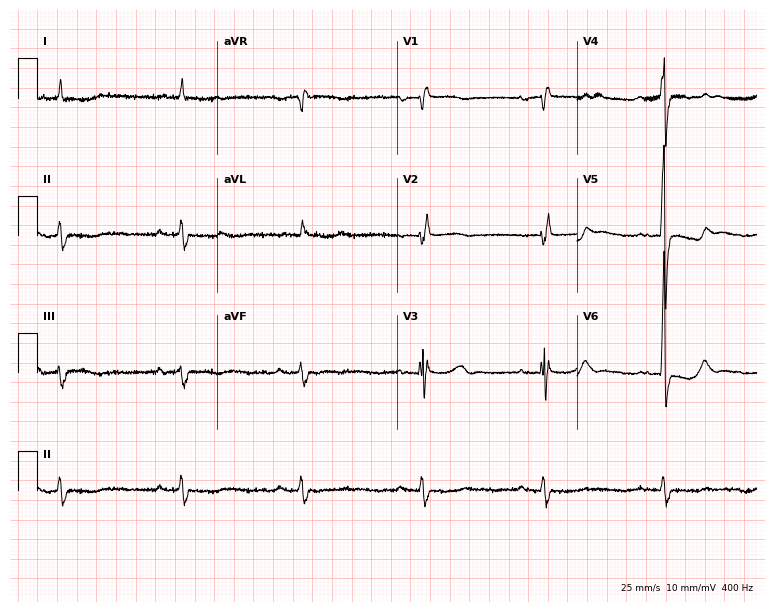
ECG (7.3-second recording at 400 Hz) — a male patient, 76 years old. Findings include first-degree AV block, right bundle branch block.